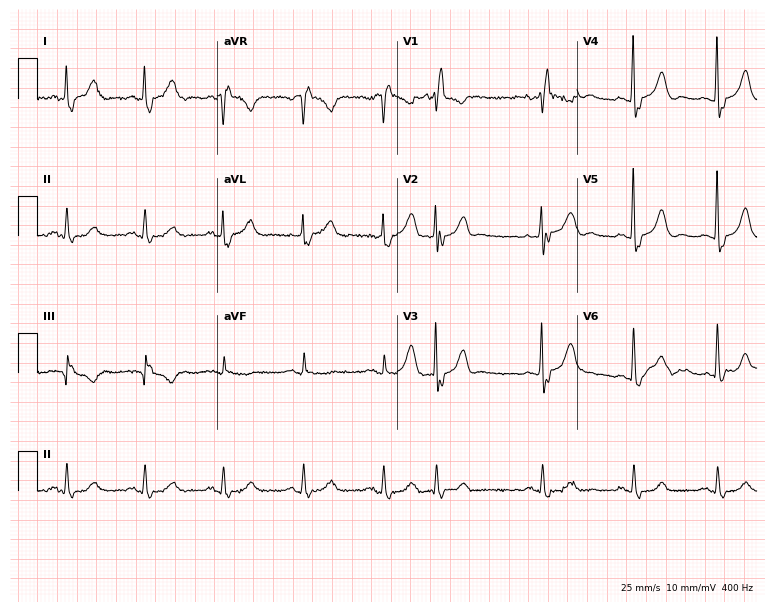
Standard 12-lead ECG recorded from a female, 81 years old. The tracing shows right bundle branch block.